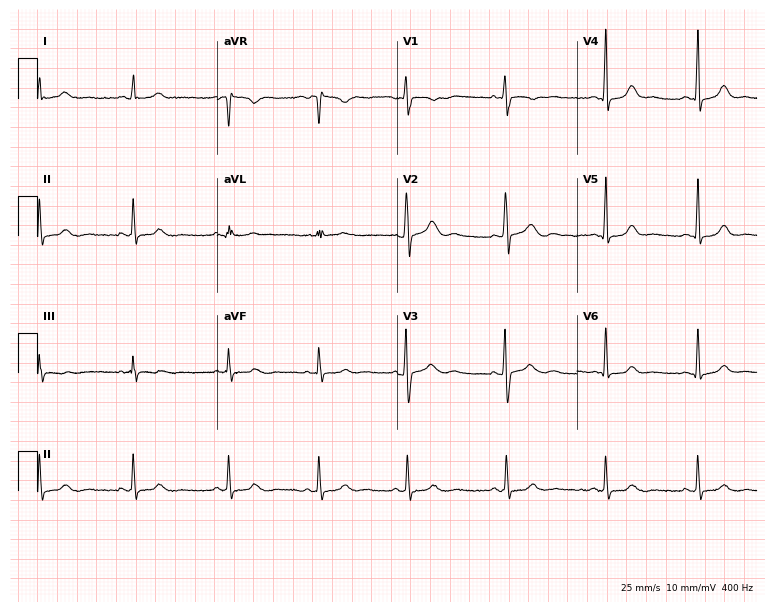
Electrocardiogram, a woman, 31 years old. Overall reading on record: normal ECG.